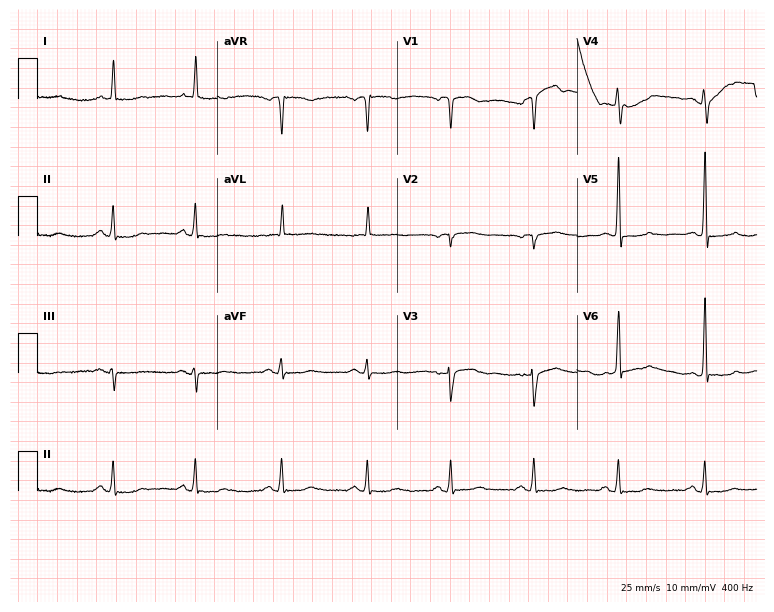
Electrocardiogram, a female, 54 years old. Of the six screened findings (first-degree AV block, right bundle branch block (RBBB), left bundle branch block (LBBB), sinus bradycardia, atrial fibrillation (AF), sinus tachycardia), none is recorded. Other findings, if any, are not listed.